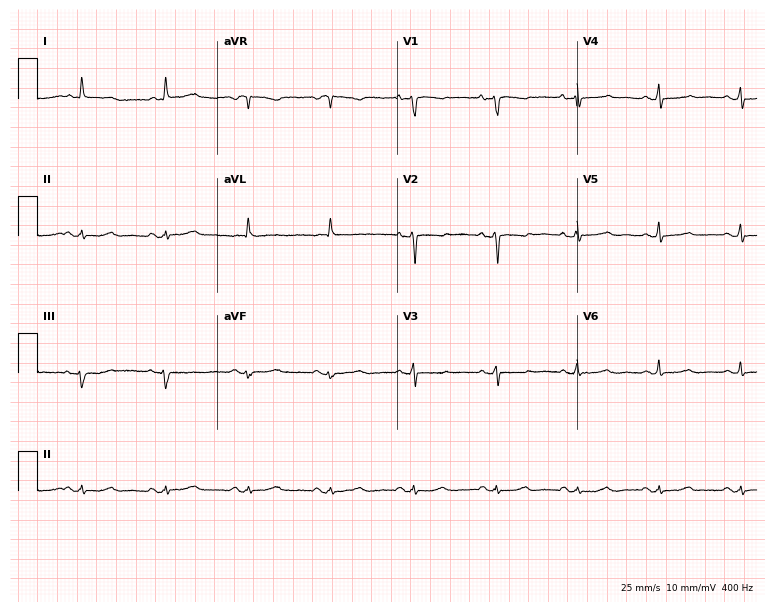
12-lead ECG from a 34-year-old female (7.3-second recording at 400 Hz). No first-degree AV block, right bundle branch block (RBBB), left bundle branch block (LBBB), sinus bradycardia, atrial fibrillation (AF) or sinus tachycardia recorded for this tracing.